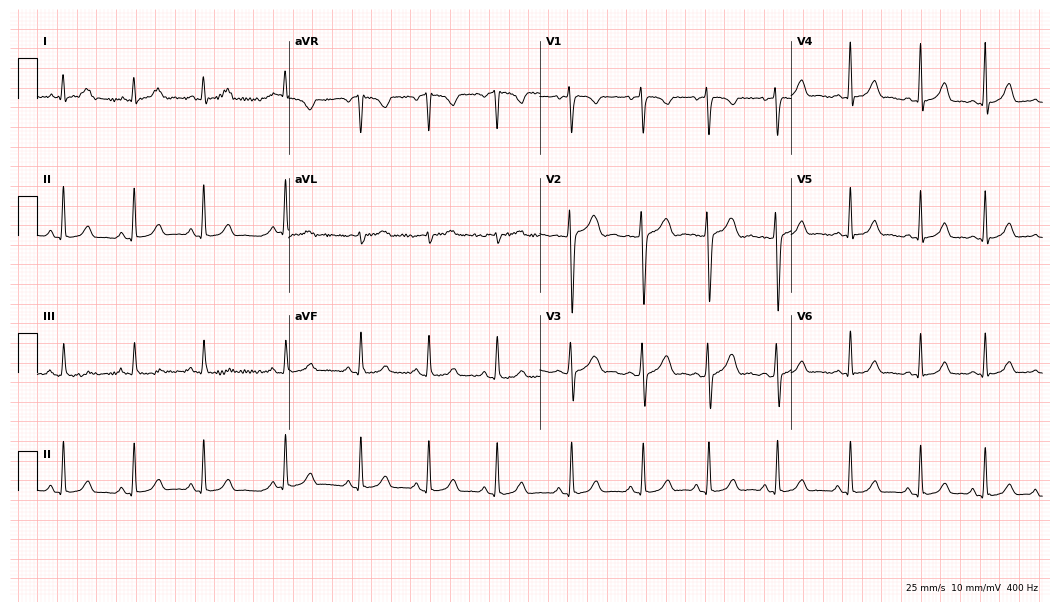
Resting 12-lead electrocardiogram. Patient: a female, 19 years old. Read as a normal ECG.